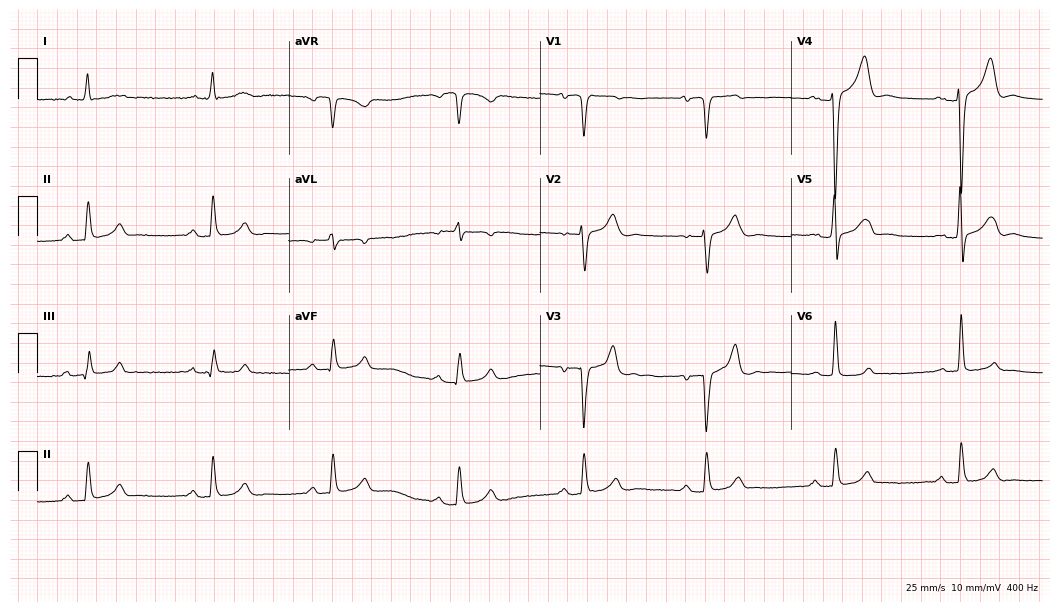
12-lead ECG from a male, 57 years old. Shows sinus bradycardia (a sinus rate of 50 beats per minute or less).